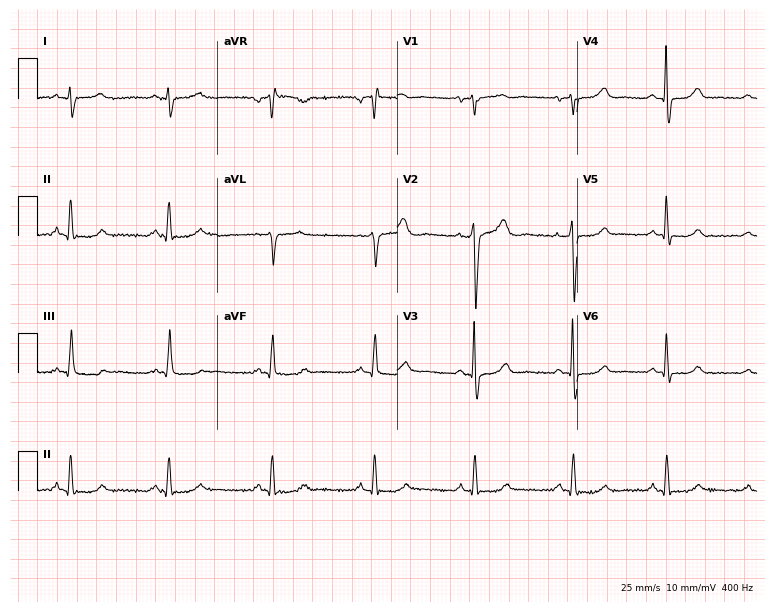
Electrocardiogram, a 53-year-old male patient. Of the six screened findings (first-degree AV block, right bundle branch block (RBBB), left bundle branch block (LBBB), sinus bradycardia, atrial fibrillation (AF), sinus tachycardia), none is recorded. Other findings, if any, are not listed.